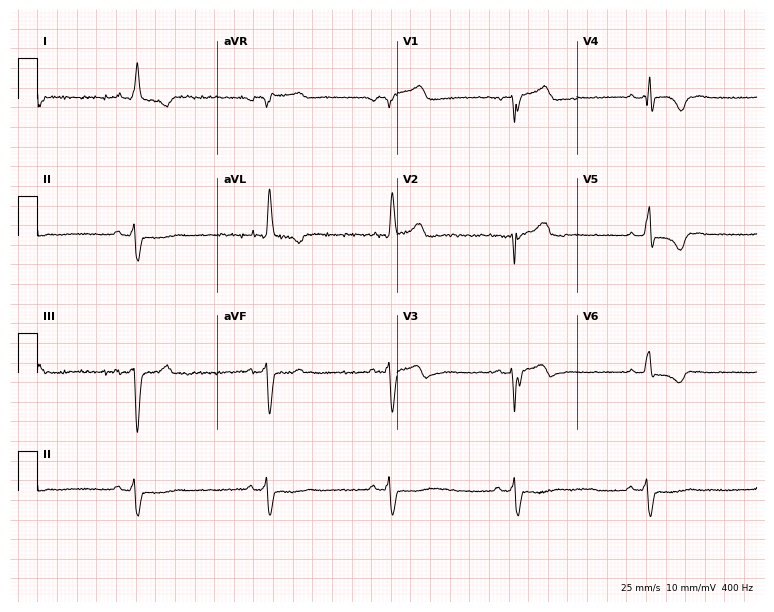
Electrocardiogram (7.3-second recording at 400 Hz), a man, 81 years old. Interpretation includes left bundle branch block, sinus bradycardia (a sinus rate of 50 beats per minute or less).